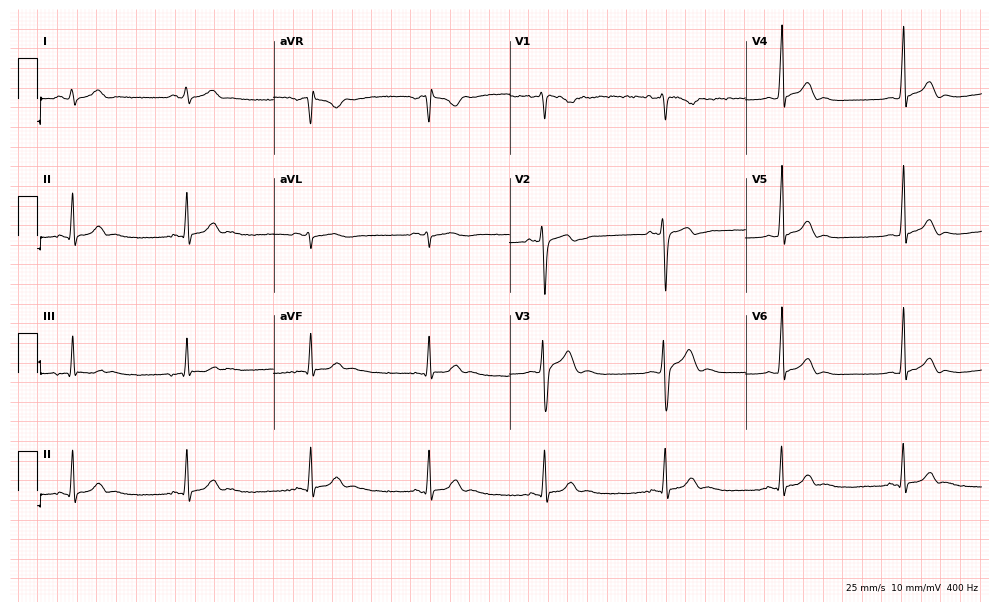
ECG — a male, 21 years old. Labelled as a normal ECG.